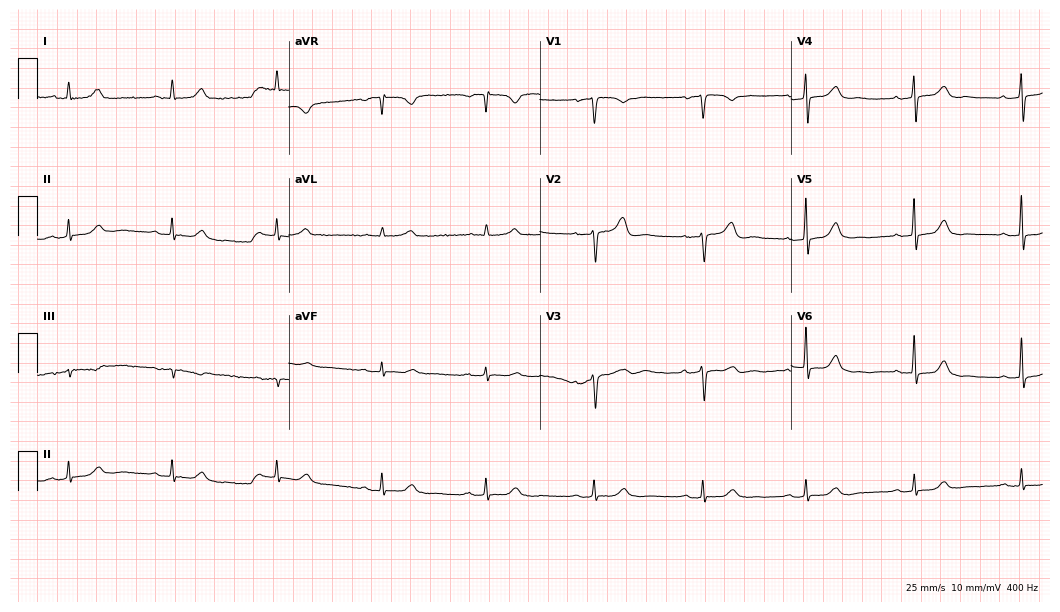
Standard 12-lead ECG recorded from a 77-year-old woman. Read as a normal ECG.